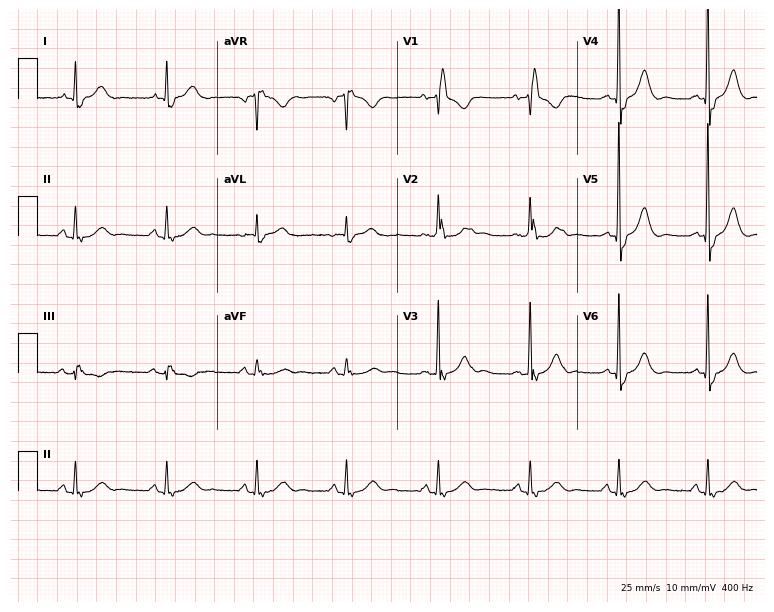
ECG (7.3-second recording at 400 Hz) — an 80-year-old woman. Findings include right bundle branch block (RBBB).